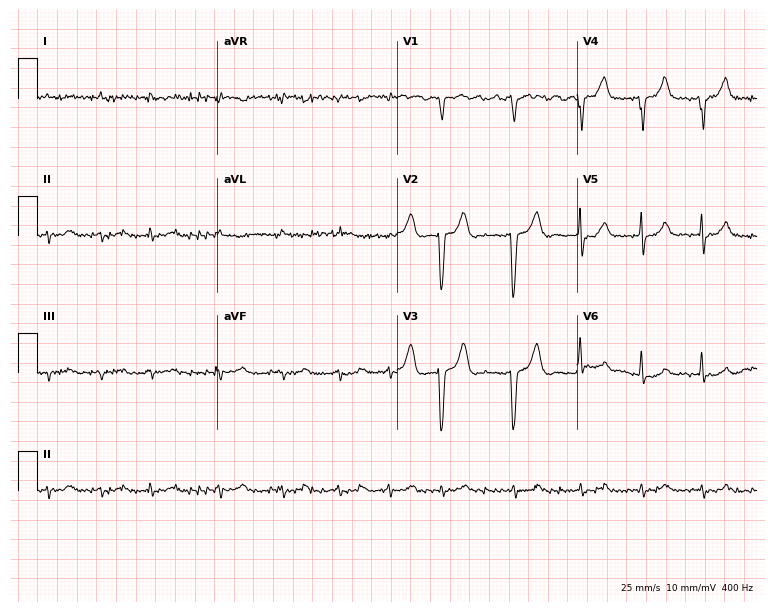
12-lead ECG from a 75-year-old female. Findings include atrial fibrillation.